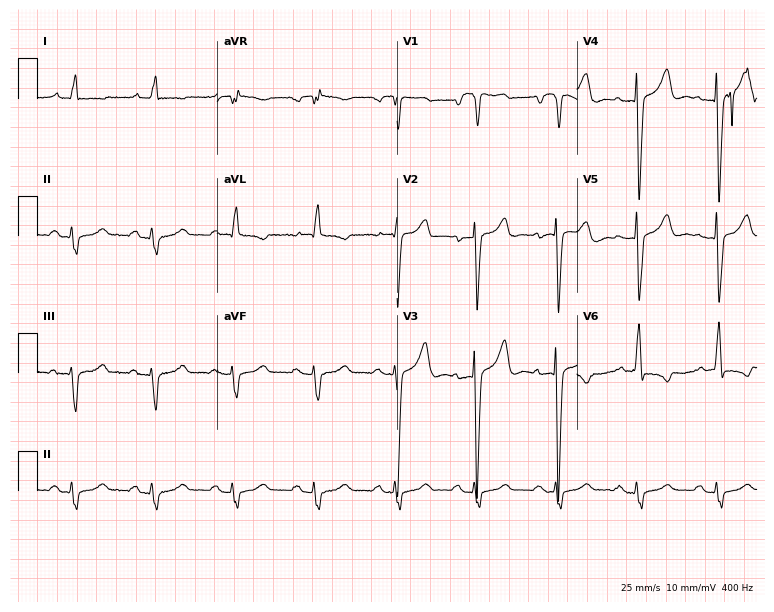
Standard 12-lead ECG recorded from a 66-year-old male patient (7.3-second recording at 400 Hz). None of these six findings is recorded: first-degree AV block, right bundle branch block, left bundle branch block, sinus bradycardia, atrial fibrillation, sinus tachycardia. Other findings, if any, are not listed.